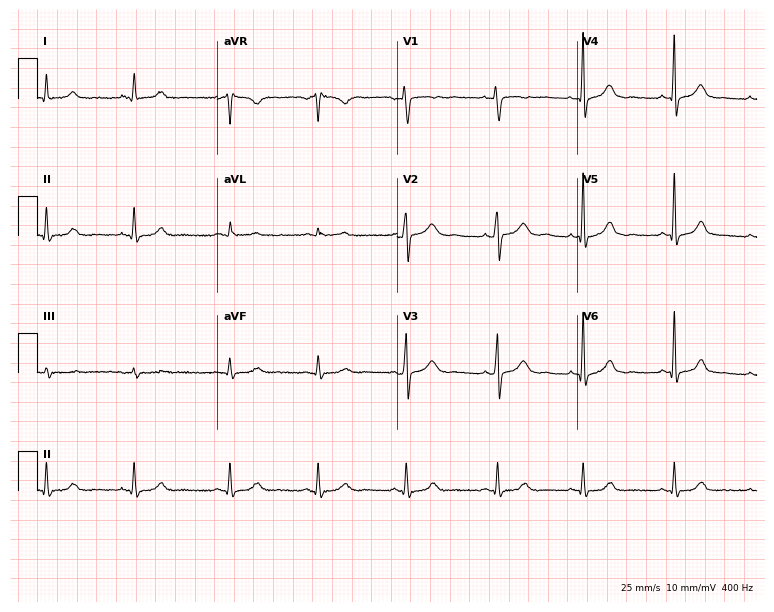
Standard 12-lead ECG recorded from a female patient, 34 years old. None of these six findings is recorded: first-degree AV block, right bundle branch block, left bundle branch block, sinus bradycardia, atrial fibrillation, sinus tachycardia.